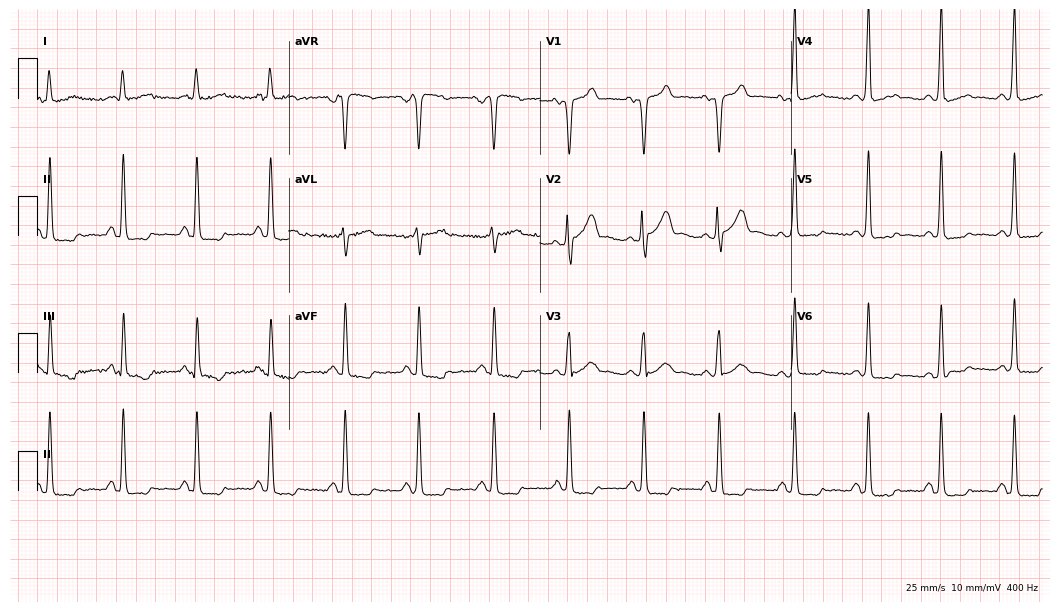
12-lead ECG from a 60-year-old male patient. Screened for six findings — first-degree AV block, right bundle branch block, left bundle branch block, sinus bradycardia, atrial fibrillation, sinus tachycardia — none is recorded.